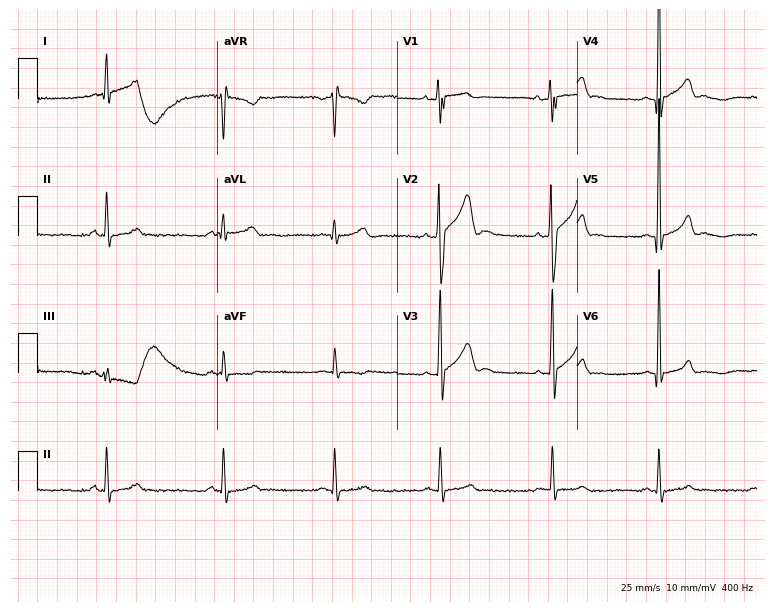
ECG — a 23-year-old man. Screened for six findings — first-degree AV block, right bundle branch block, left bundle branch block, sinus bradycardia, atrial fibrillation, sinus tachycardia — none is recorded.